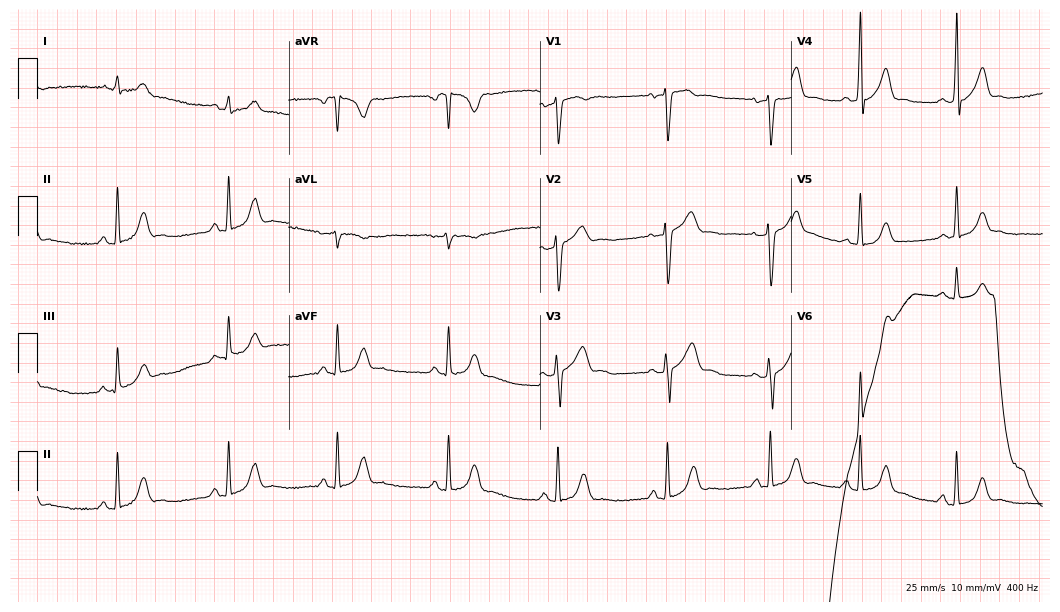
ECG (10.2-second recording at 400 Hz) — a 37-year-old male. Labelled as a normal ECG.